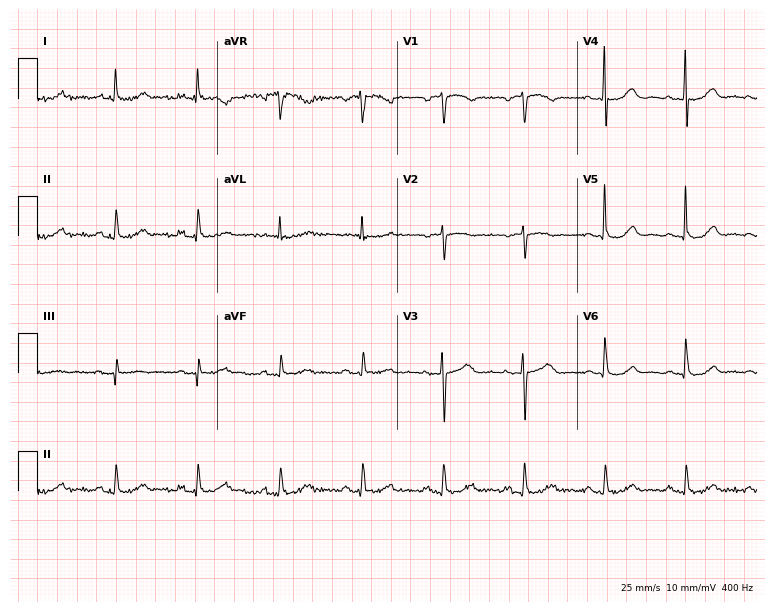
12-lead ECG from a 73-year-old male patient (7.3-second recording at 400 Hz). Recorded interpretation: within normal limits.